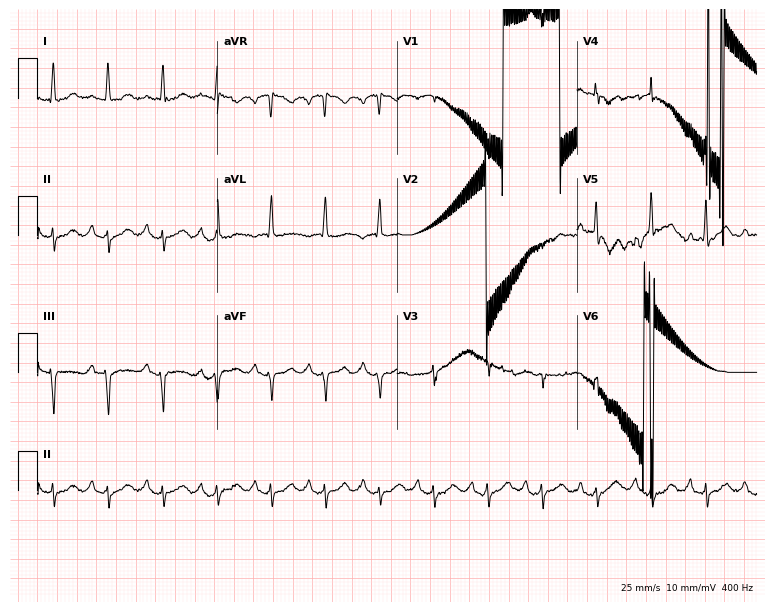
Electrocardiogram, a 72-year-old female. Of the six screened findings (first-degree AV block, right bundle branch block (RBBB), left bundle branch block (LBBB), sinus bradycardia, atrial fibrillation (AF), sinus tachycardia), none is recorded. Only these six findings were labelled.